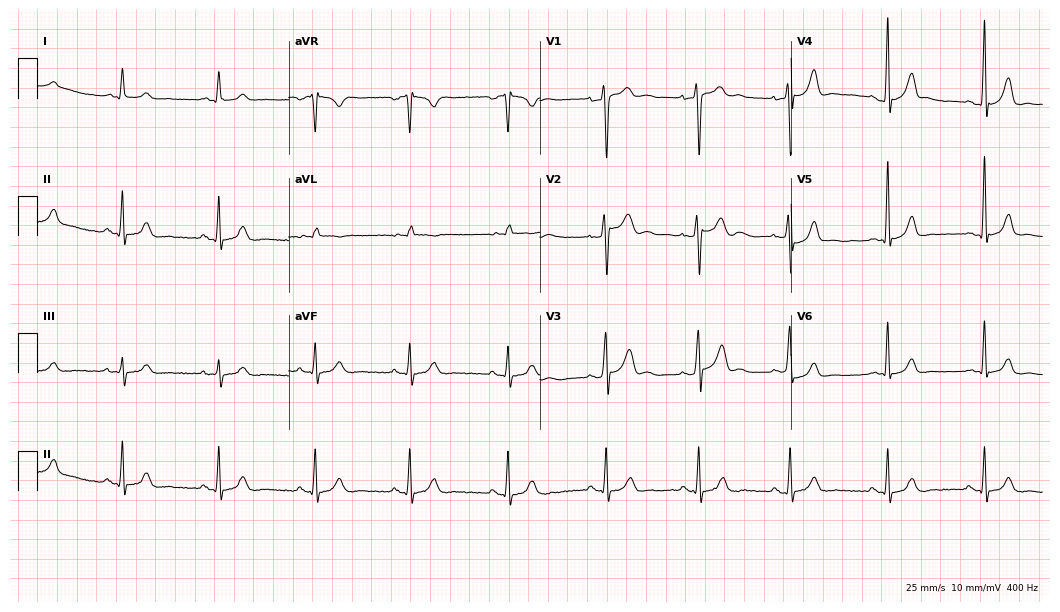
Resting 12-lead electrocardiogram. Patient: a 29-year-old male. Read as a normal ECG.